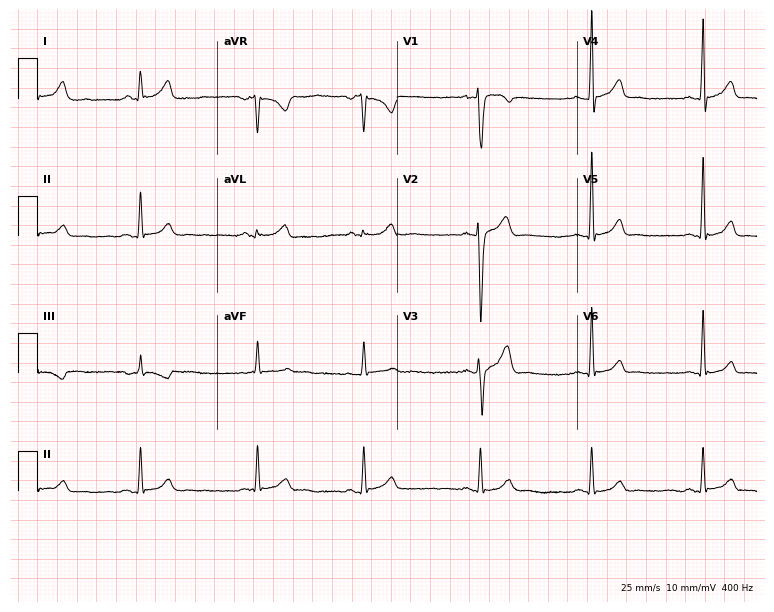
ECG (7.3-second recording at 400 Hz) — a male patient, 28 years old. Screened for six findings — first-degree AV block, right bundle branch block, left bundle branch block, sinus bradycardia, atrial fibrillation, sinus tachycardia — none is recorded. Other findings, if any, are not listed.